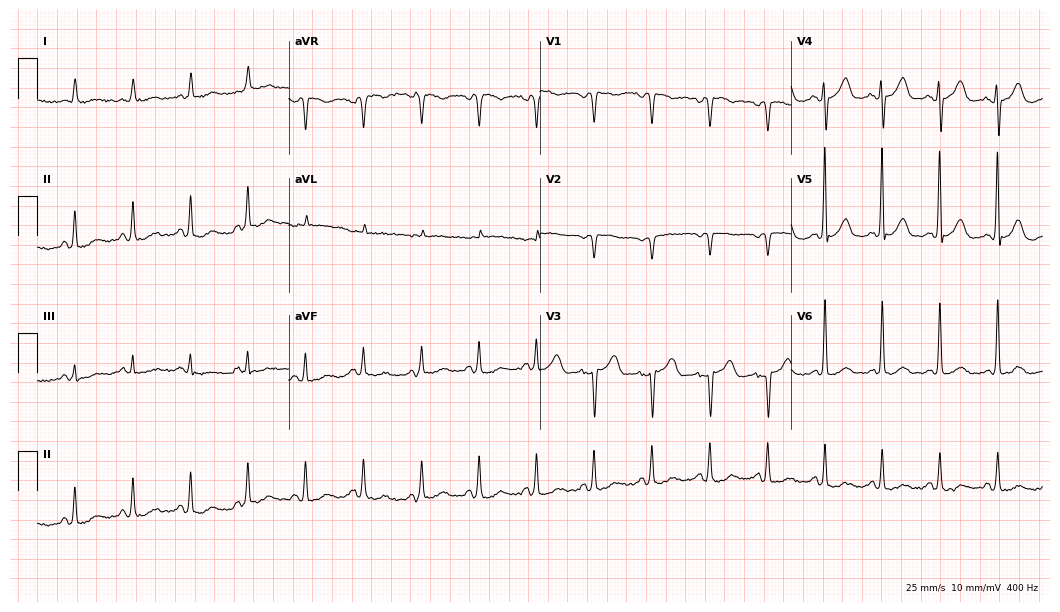
Electrocardiogram, a 72-year-old woman. Interpretation includes sinus tachycardia (a sinus rate of 100 beats per minute or more).